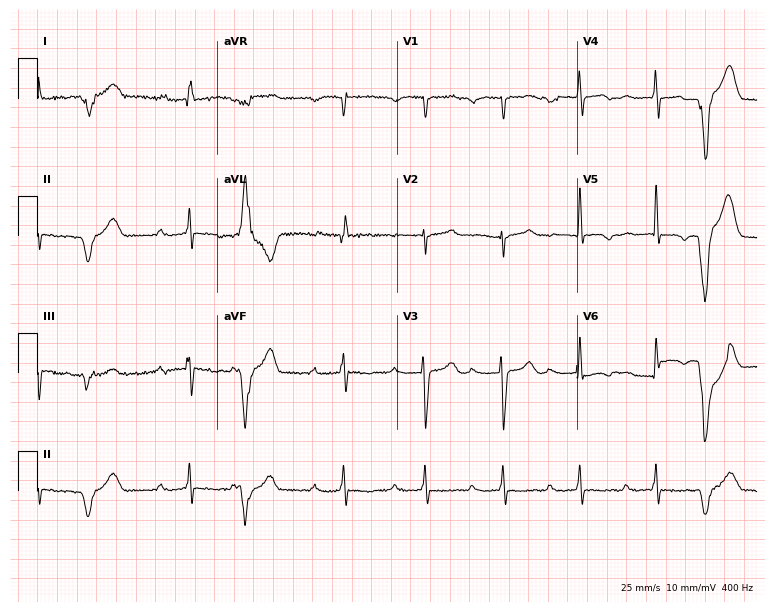
12-lead ECG from an 82-year-old female patient. Findings include first-degree AV block.